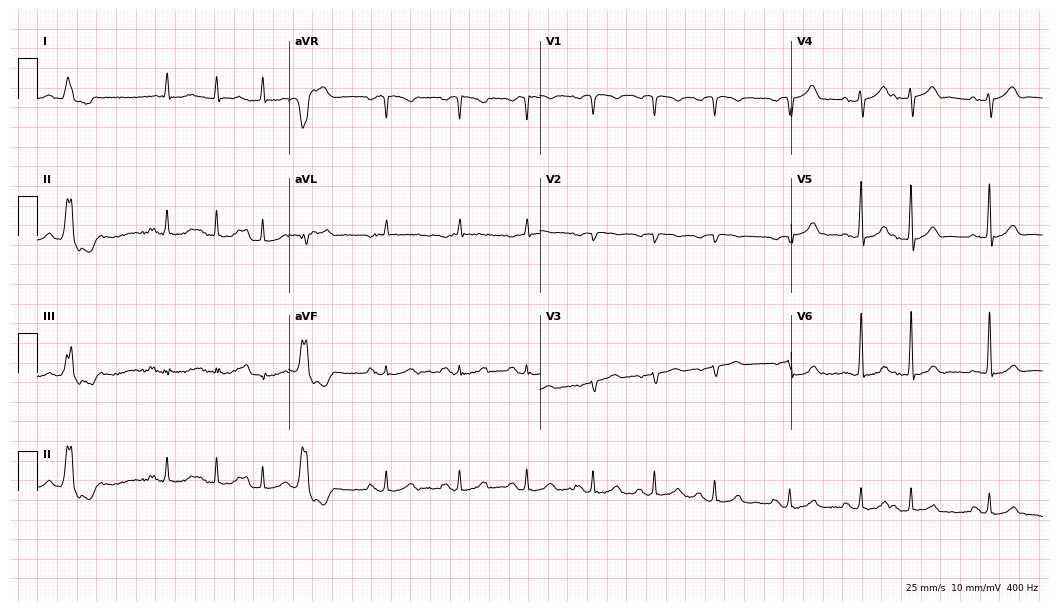
ECG — a 74-year-old man. Labelled as a normal ECG.